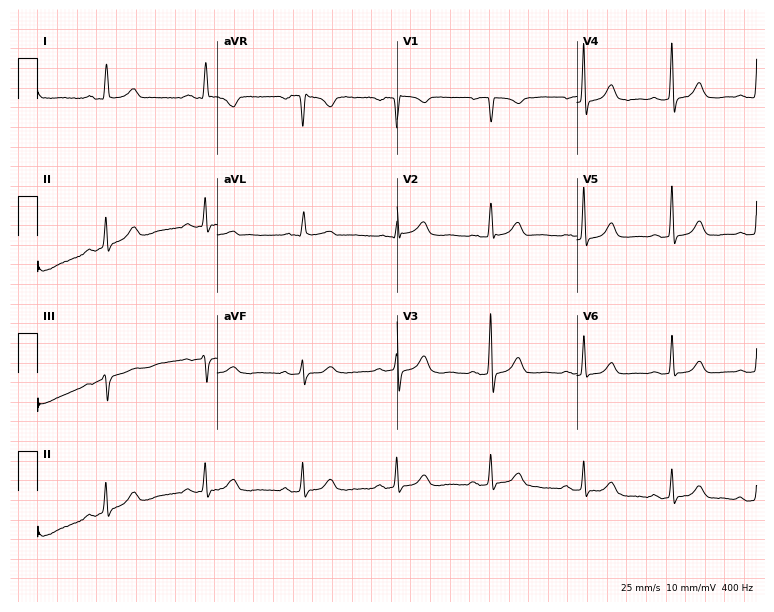
ECG — a female, 64 years old. Screened for six findings — first-degree AV block, right bundle branch block (RBBB), left bundle branch block (LBBB), sinus bradycardia, atrial fibrillation (AF), sinus tachycardia — none is recorded. Findings outside these six are not listed.